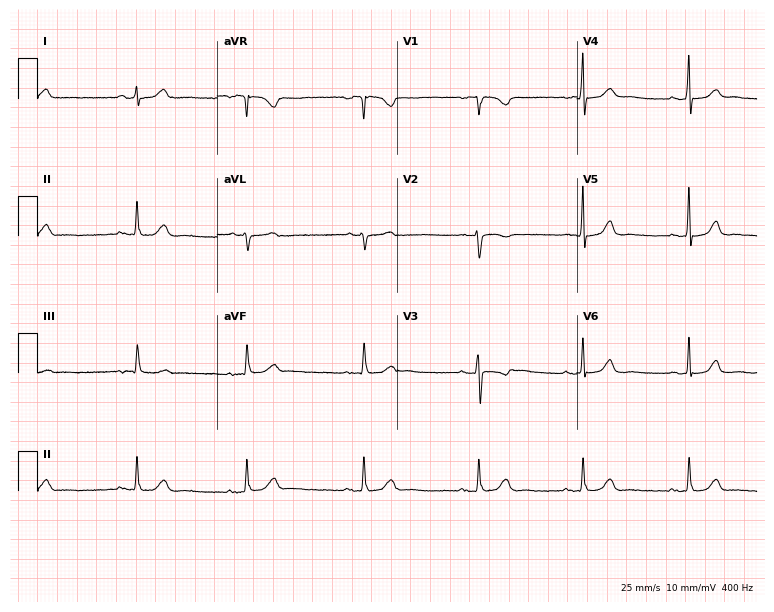
Resting 12-lead electrocardiogram (7.3-second recording at 400 Hz). Patient: a woman, 40 years old. None of these six findings is recorded: first-degree AV block, right bundle branch block, left bundle branch block, sinus bradycardia, atrial fibrillation, sinus tachycardia.